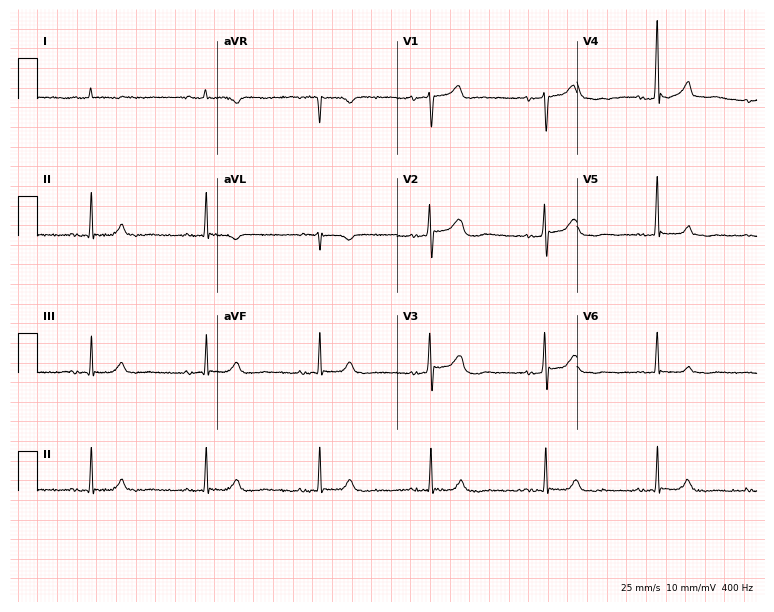
Electrocardiogram (7.3-second recording at 400 Hz), a male patient, 83 years old. Overall reading on record: normal ECG.